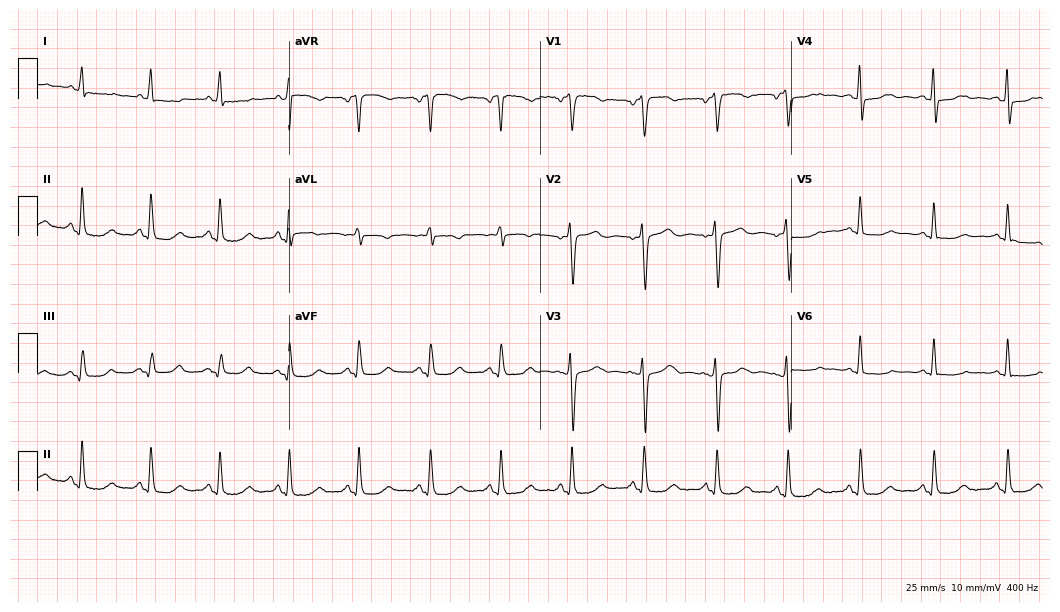
12-lead ECG from a 51-year-old woman. Screened for six findings — first-degree AV block, right bundle branch block, left bundle branch block, sinus bradycardia, atrial fibrillation, sinus tachycardia — none is recorded. Only these six findings were labelled.